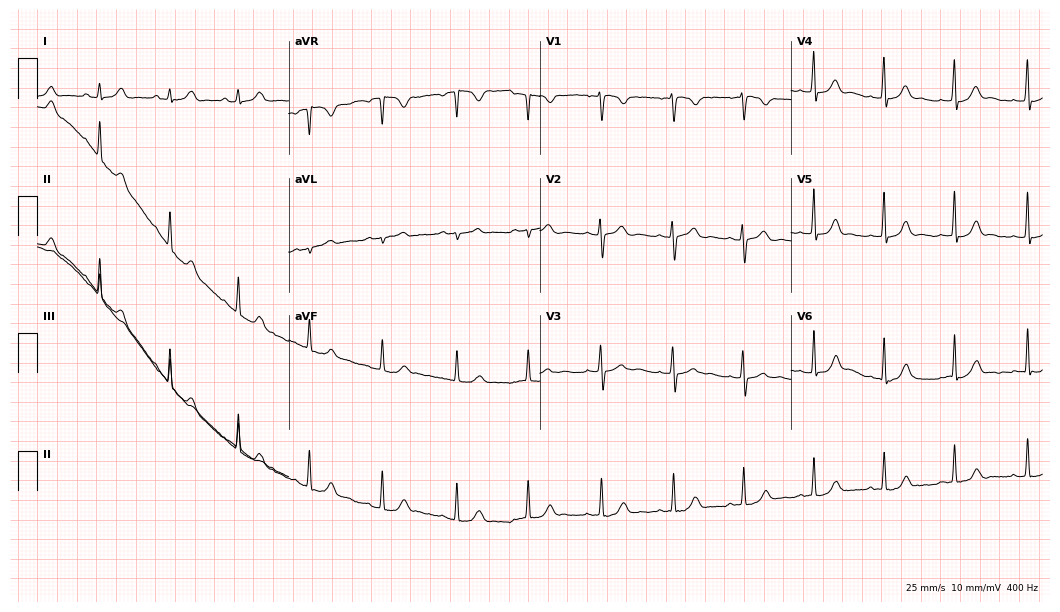
12-lead ECG from a female patient, 21 years old. No first-degree AV block, right bundle branch block, left bundle branch block, sinus bradycardia, atrial fibrillation or sinus tachycardia recorded for this tracing. Other findings, if any, are not listed.